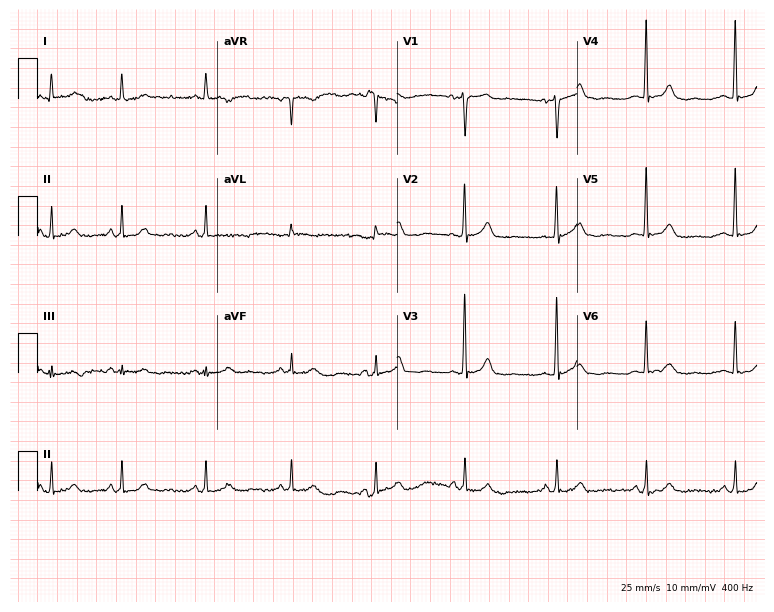
ECG (7.3-second recording at 400 Hz) — a 67-year-old man. Screened for six findings — first-degree AV block, right bundle branch block, left bundle branch block, sinus bradycardia, atrial fibrillation, sinus tachycardia — none is recorded.